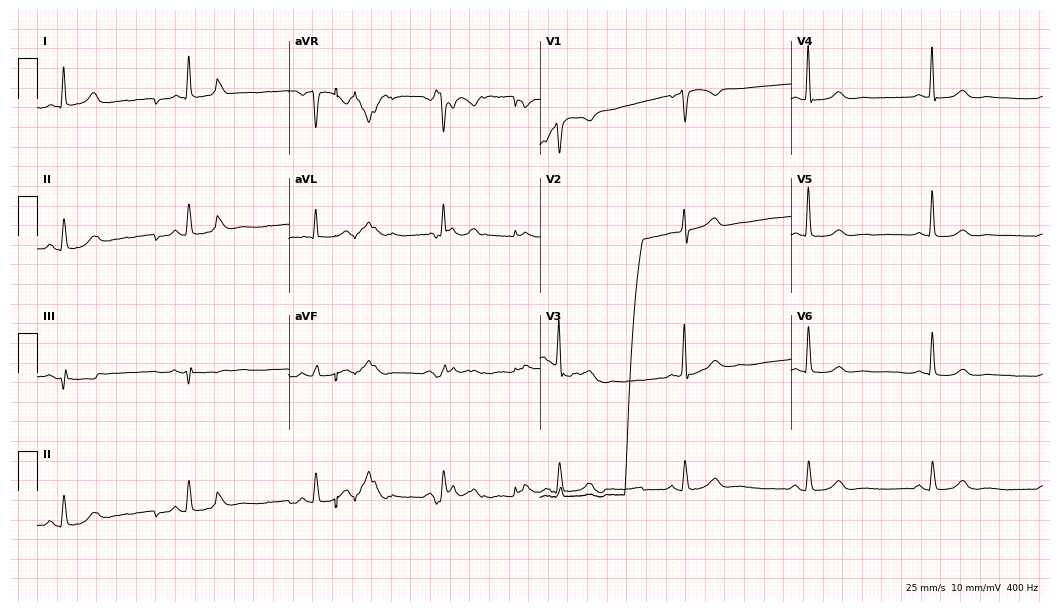
Resting 12-lead electrocardiogram (10.2-second recording at 400 Hz). Patient: a male, 75 years old. None of these six findings is recorded: first-degree AV block, right bundle branch block (RBBB), left bundle branch block (LBBB), sinus bradycardia, atrial fibrillation (AF), sinus tachycardia. Only these six findings were labelled.